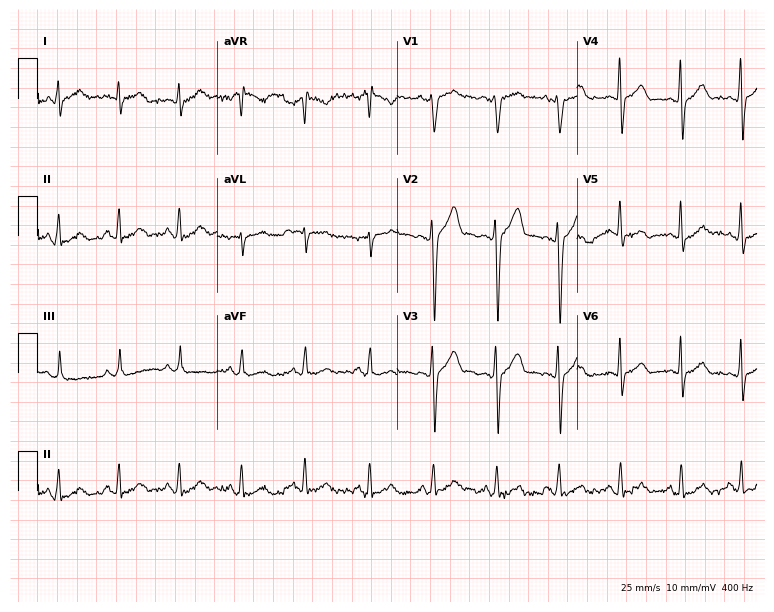
ECG (7.3-second recording at 400 Hz) — a male patient, 35 years old. Screened for six findings — first-degree AV block, right bundle branch block (RBBB), left bundle branch block (LBBB), sinus bradycardia, atrial fibrillation (AF), sinus tachycardia — none is recorded. Only these six findings were labelled.